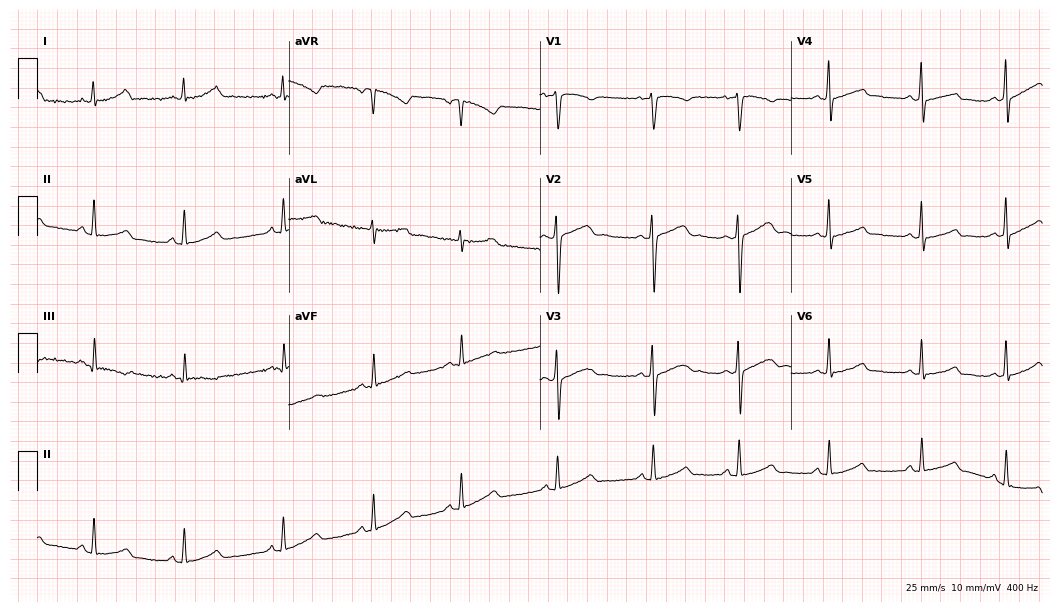
Standard 12-lead ECG recorded from a 37-year-old female patient (10.2-second recording at 400 Hz). Read as a normal ECG.